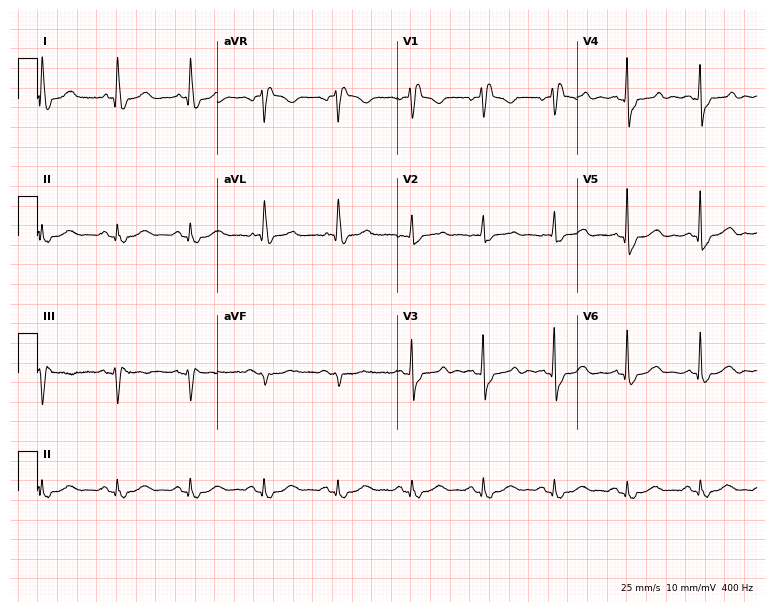
Resting 12-lead electrocardiogram (7.3-second recording at 400 Hz). Patient: a female, 78 years old. The tracing shows right bundle branch block.